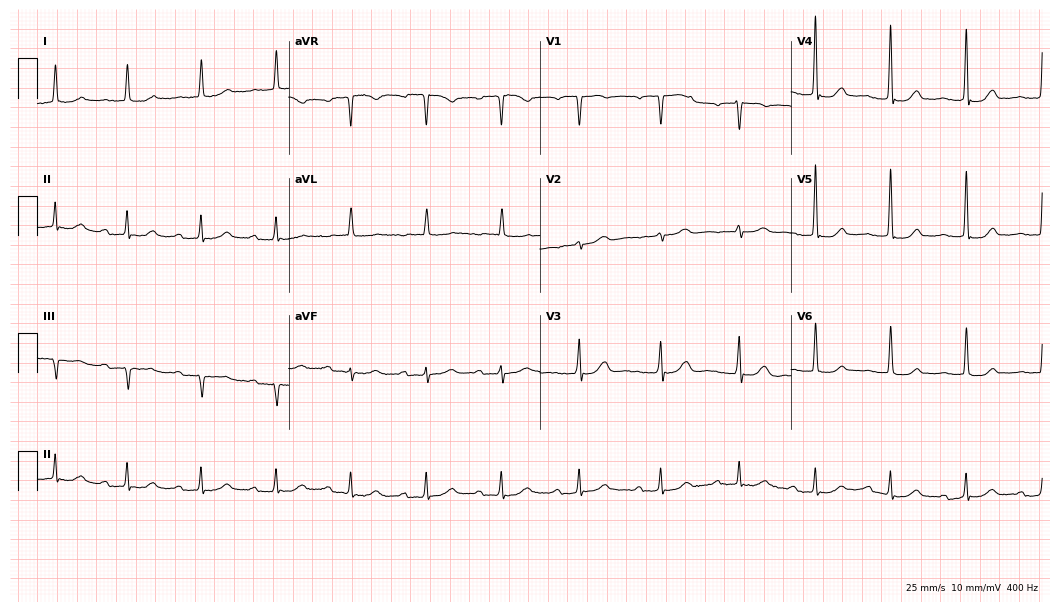
ECG (10.2-second recording at 400 Hz) — an 83-year-old female patient. Screened for six findings — first-degree AV block, right bundle branch block (RBBB), left bundle branch block (LBBB), sinus bradycardia, atrial fibrillation (AF), sinus tachycardia — none is recorded. Other findings, if any, are not listed.